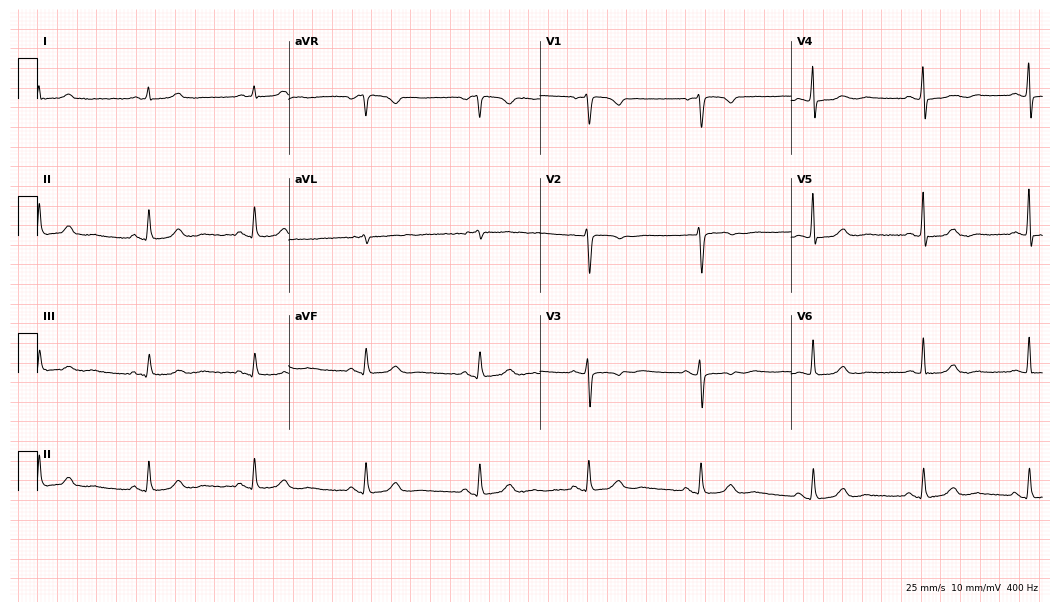
12-lead ECG from a female patient, 64 years old. Labelled as a normal ECG.